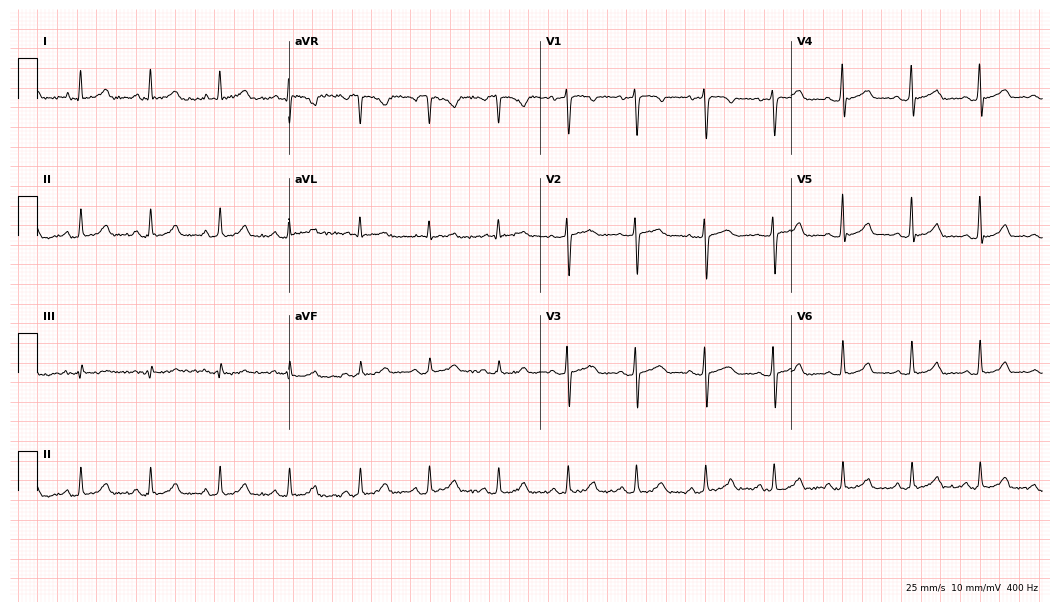
Resting 12-lead electrocardiogram (10.2-second recording at 400 Hz). Patient: a female, 44 years old. None of these six findings is recorded: first-degree AV block, right bundle branch block (RBBB), left bundle branch block (LBBB), sinus bradycardia, atrial fibrillation (AF), sinus tachycardia.